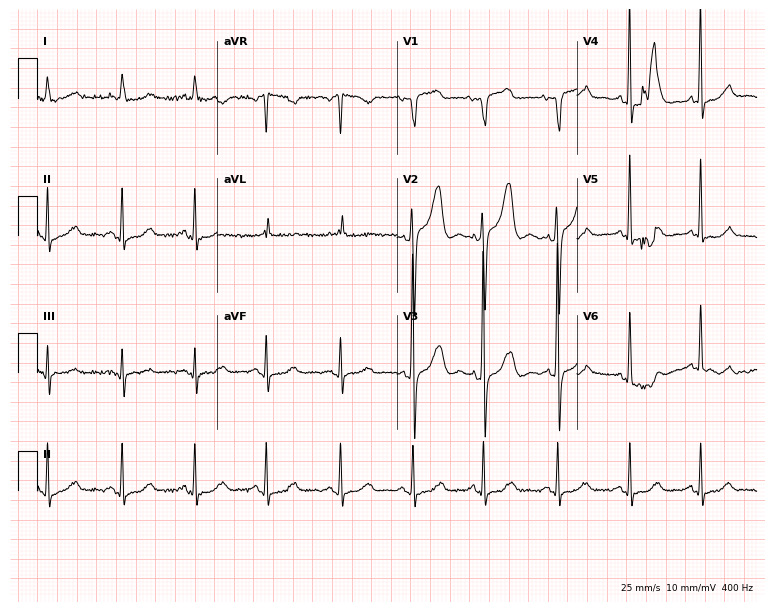
Electrocardiogram, a female patient, 85 years old. Of the six screened findings (first-degree AV block, right bundle branch block, left bundle branch block, sinus bradycardia, atrial fibrillation, sinus tachycardia), none is recorded.